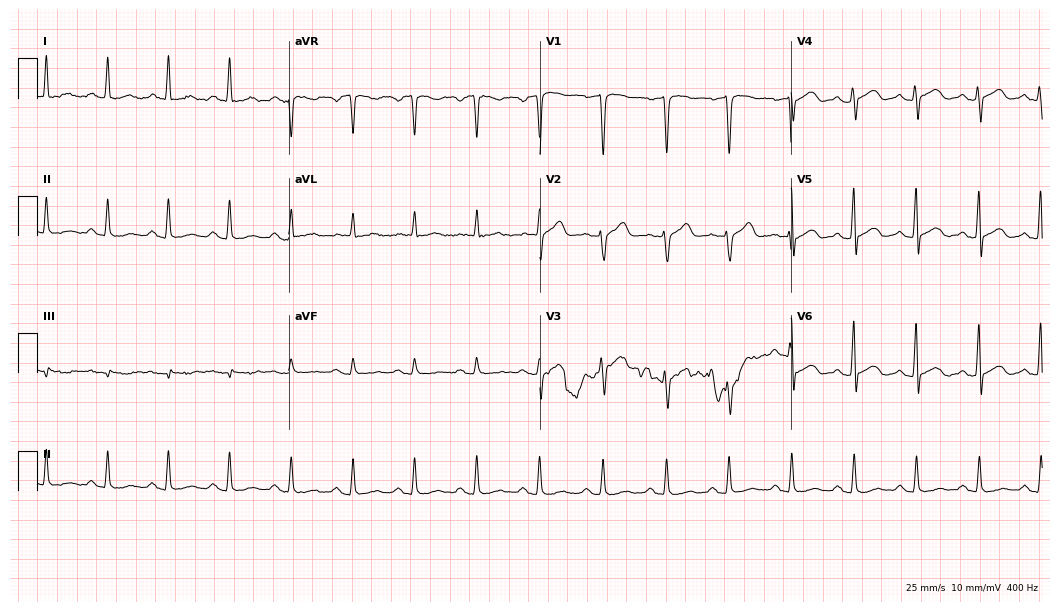
12-lead ECG (10.2-second recording at 400 Hz) from a 77-year-old male. Screened for six findings — first-degree AV block, right bundle branch block, left bundle branch block, sinus bradycardia, atrial fibrillation, sinus tachycardia — none is recorded. Other findings, if any, are not listed.